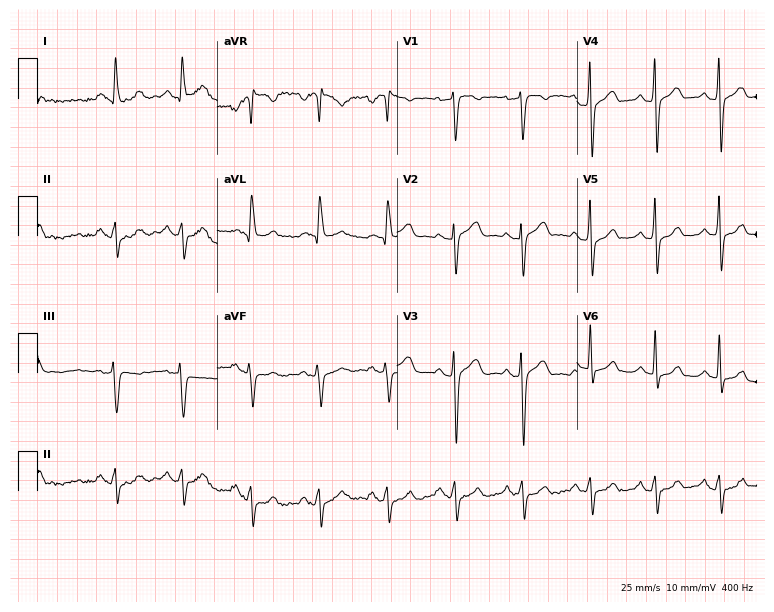
12-lead ECG from a 47-year-old man (7.3-second recording at 400 Hz). No first-degree AV block, right bundle branch block, left bundle branch block, sinus bradycardia, atrial fibrillation or sinus tachycardia recorded for this tracing. Only these six findings were labelled.